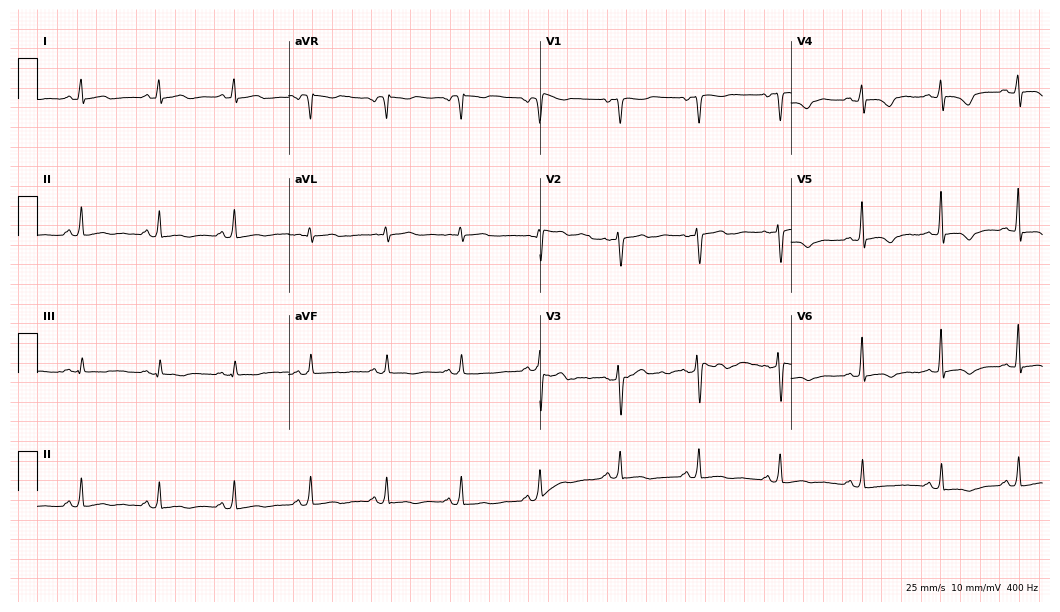
Standard 12-lead ECG recorded from a 26-year-old female patient (10.2-second recording at 400 Hz). None of these six findings is recorded: first-degree AV block, right bundle branch block (RBBB), left bundle branch block (LBBB), sinus bradycardia, atrial fibrillation (AF), sinus tachycardia. Findings outside these six are not listed.